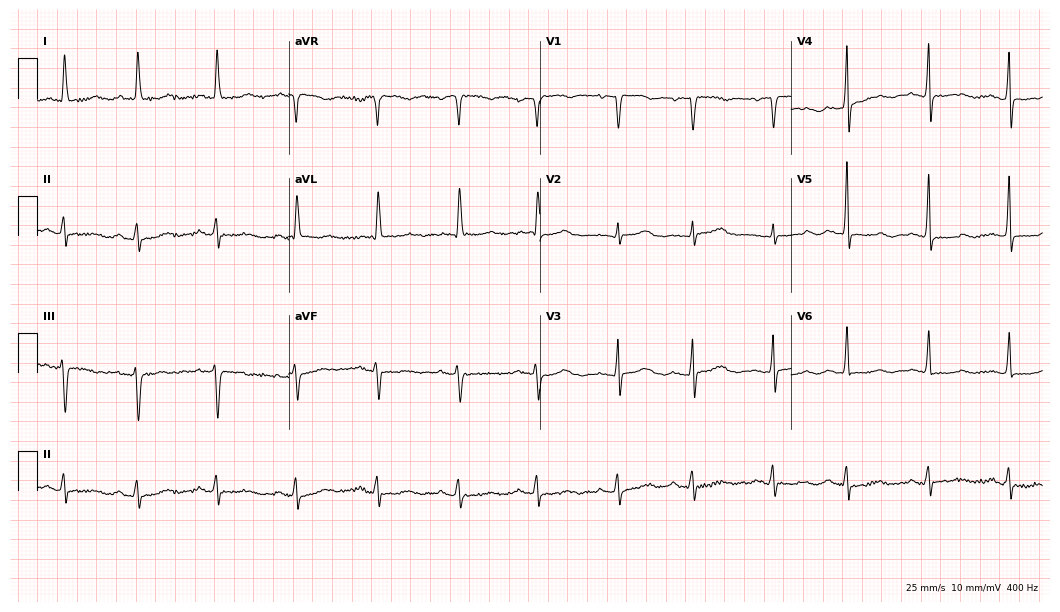
ECG (10.2-second recording at 400 Hz) — an 81-year-old female patient. Screened for six findings — first-degree AV block, right bundle branch block, left bundle branch block, sinus bradycardia, atrial fibrillation, sinus tachycardia — none is recorded. Findings outside these six are not listed.